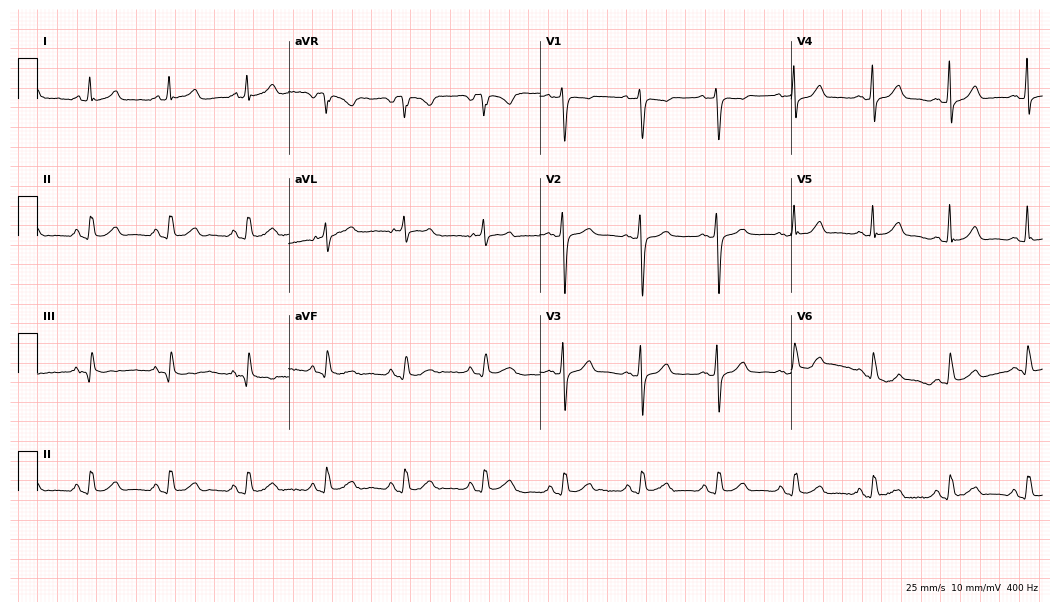
Standard 12-lead ECG recorded from a 68-year-old female (10.2-second recording at 400 Hz). Read as a normal ECG.